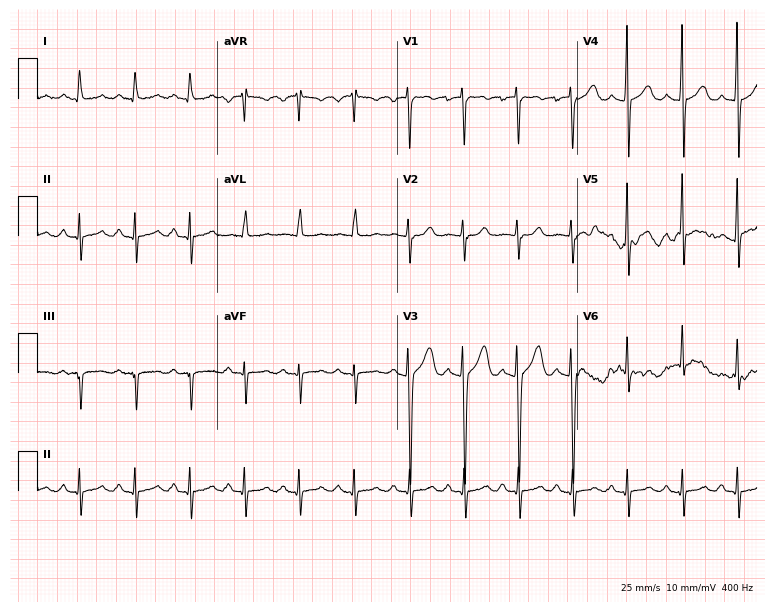
ECG (7.3-second recording at 400 Hz) — a male patient, 30 years old. Findings include sinus tachycardia (a sinus rate of 100 beats per minute or more).